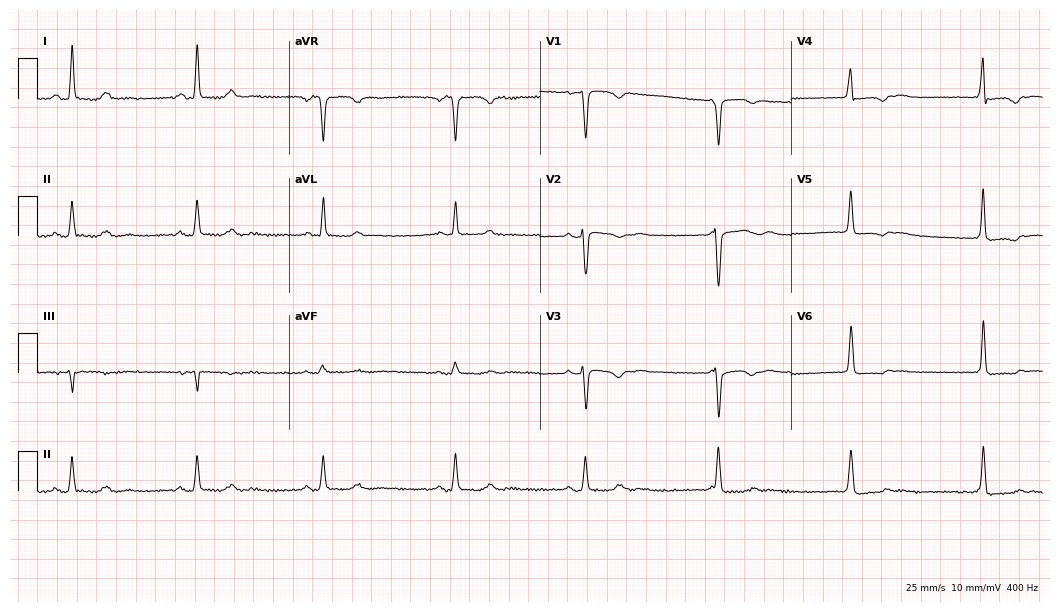
Resting 12-lead electrocardiogram. Patient: a 65-year-old woman. The tracing shows sinus bradycardia (a sinus rate of 50 beats per minute or less).